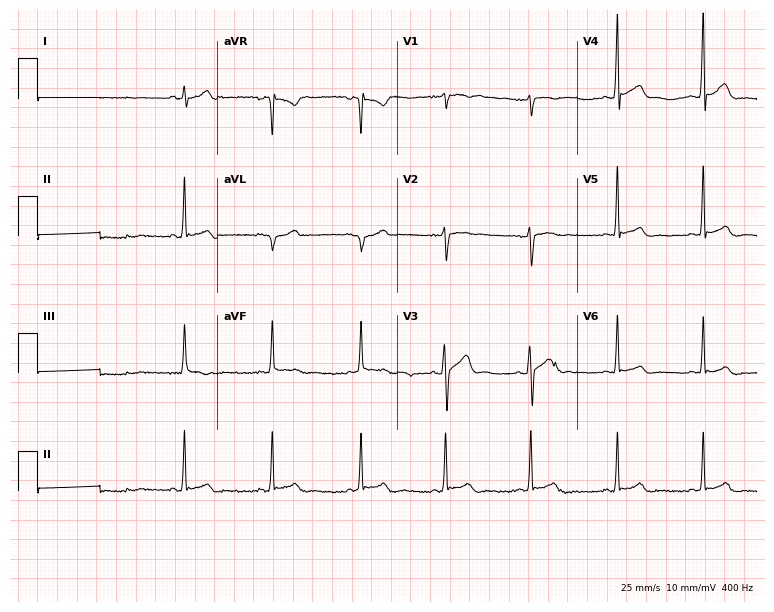
Electrocardiogram, a 20-year-old male. Of the six screened findings (first-degree AV block, right bundle branch block, left bundle branch block, sinus bradycardia, atrial fibrillation, sinus tachycardia), none is recorded. Other findings, if any, are not listed.